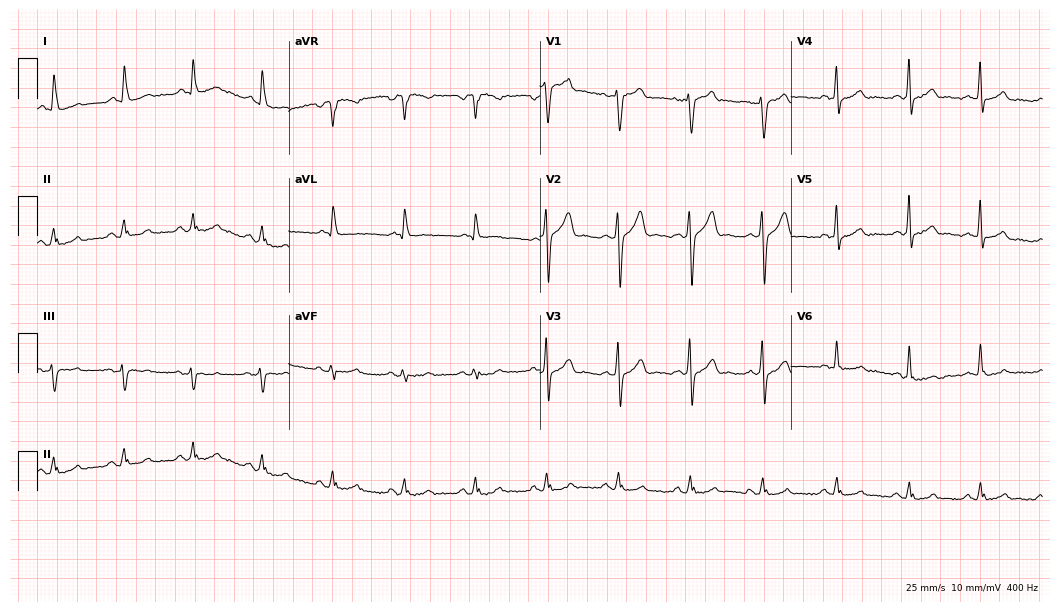
ECG (10.2-second recording at 400 Hz) — a 55-year-old man. Screened for six findings — first-degree AV block, right bundle branch block (RBBB), left bundle branch block (LBBB), sinus bradycardia, atrial fibrillation (AF), sinus tachycardia — none is recorded.